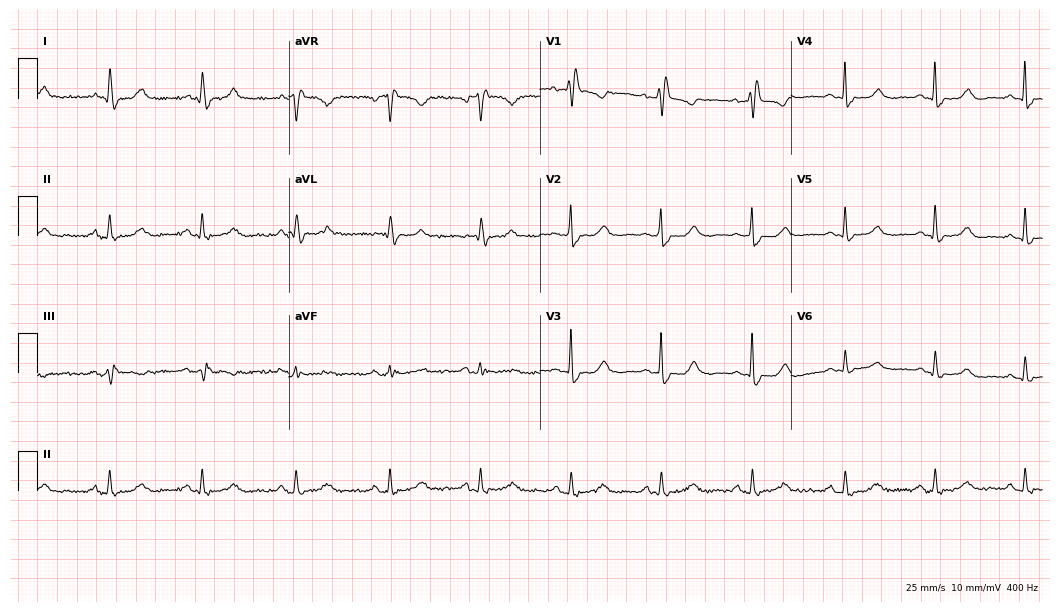
12-lead ECG from a female, 67 years old (10.2-second recording at 400 Hz). Shows right bundle branch block (RBBB).